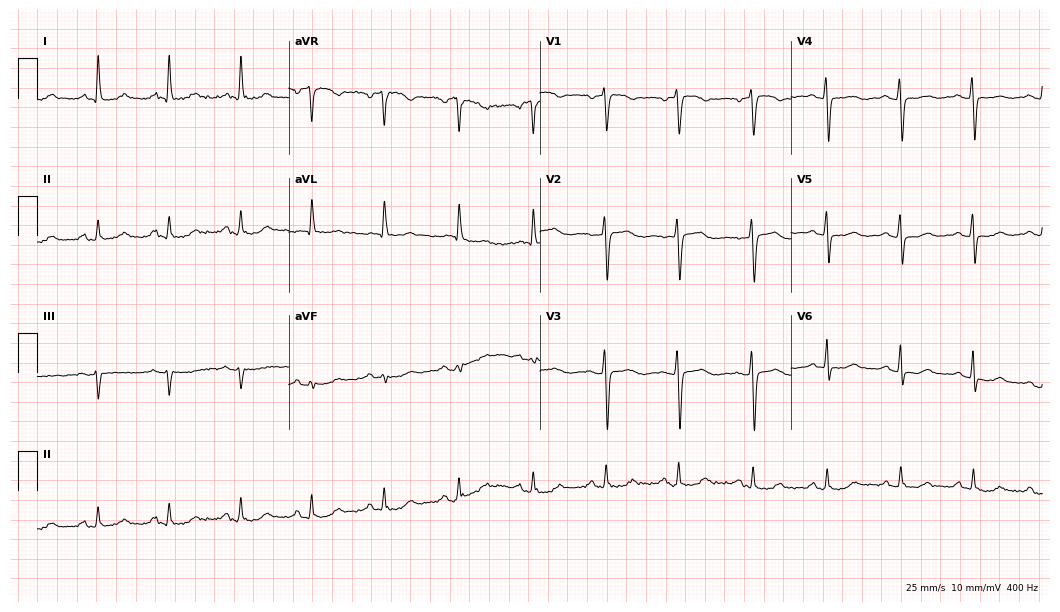
Standard 12-lead ECG recorded from a 64-year-old female patient (10.2-second recording at 400 Hz). Read as a normal ECG.